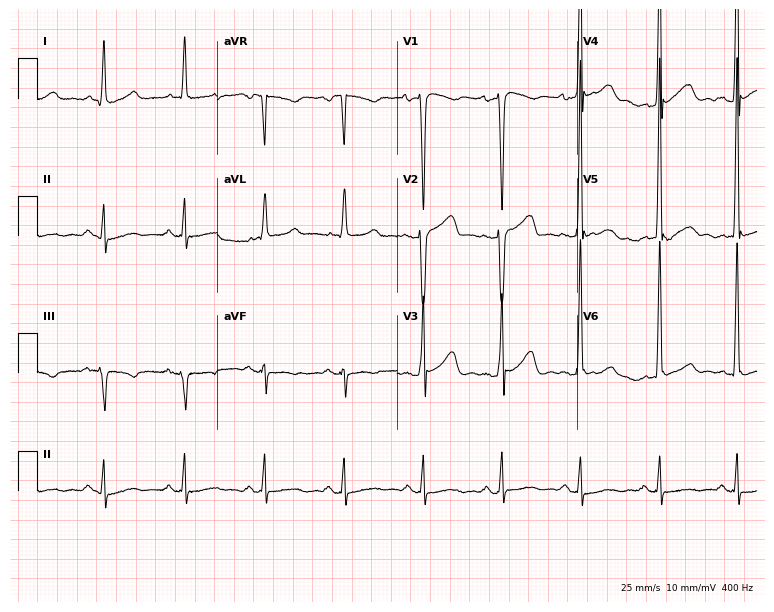
12-lead ECG (7.3-second recording at 400 Hz) from a man, 47 years old. Screened for six findings — first-degree AV block, right bundle branch block, left bundle branch block, sinus bradycardia, atrial fibrillation, sinus tachycardia — none is recorded.